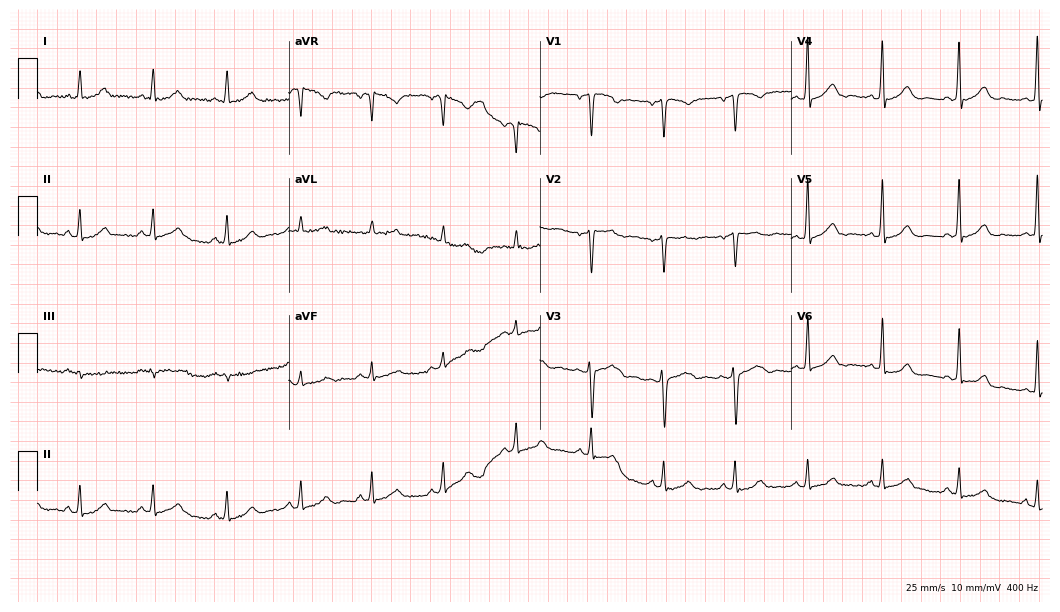
ECG (10.2-second recording at 400 Hz) — a female, 46 years old. Labelled as a normal ECG.